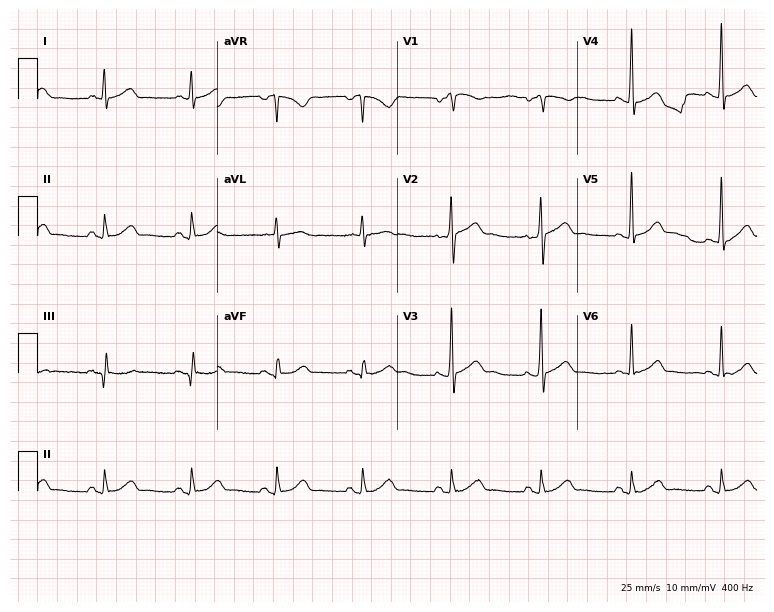
Electrocardiogram, a 47-year-old man. Overall reading on record: normal ECG.